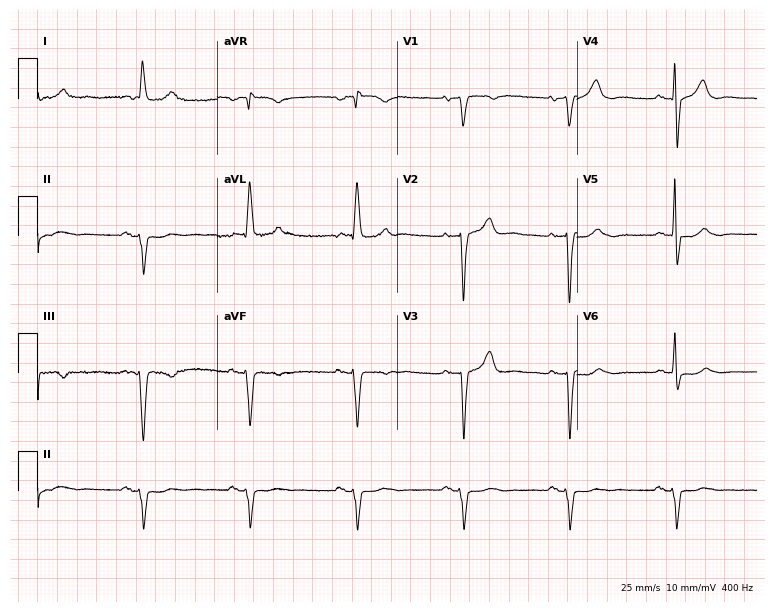
ECG — an 82-year-old male patient. Screened for six findings — first-degree AV block, right bundle branch block, left bundle branch block, sinus bradycardia, atrial fibrillation, sinus tachycardia — none is recorded. Only these six findings were labelled.